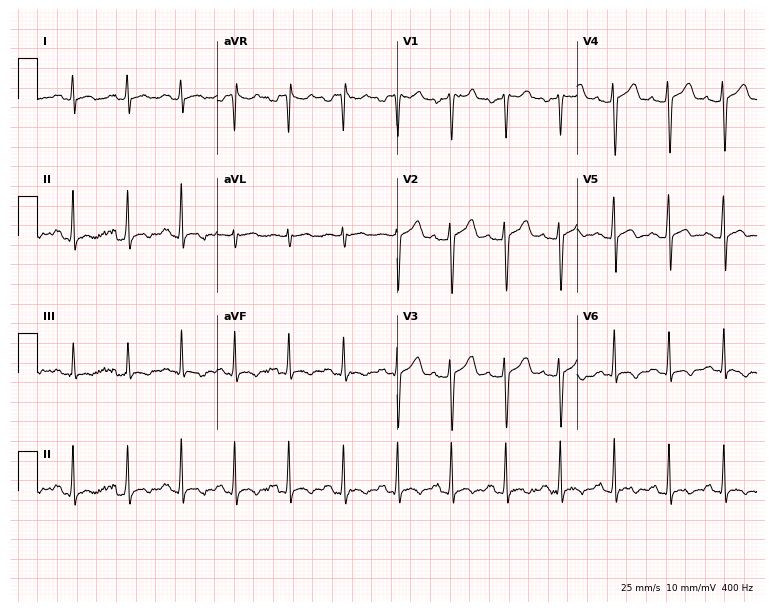
Resting 12-lead electrocardiogram. Patient: a 30-year-old male. None of these six findings is recorded: first-degree AV block, right bundle branch block, left bundle branch block, sinus bradycardia, atrial fibrillation, sinus tachycardia. Other findings, if any, are not listed.